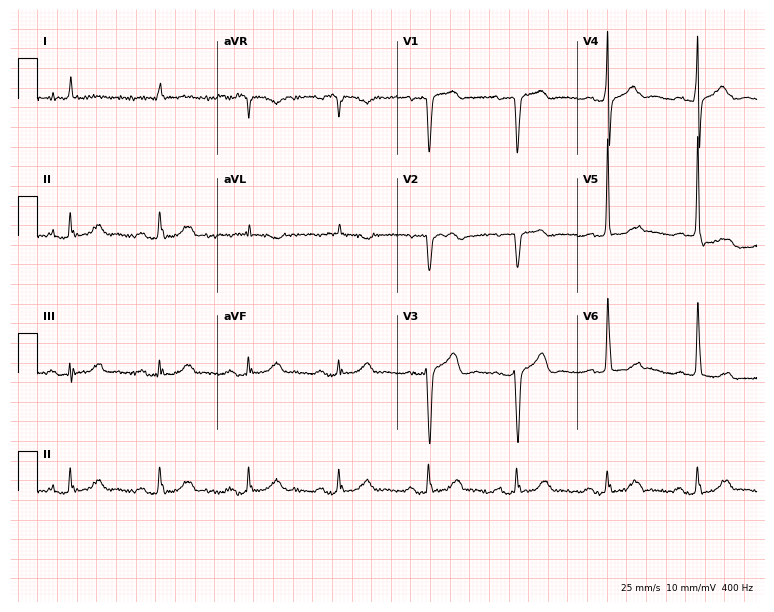
Electrocardiogram (7.3-second recording at 400 Hz), a male patient, 83 years old. Of the six screened findings (first-degree AV block, right bundle branch block, left bundle branch block, sinus bradycardia, atrial fibrillation, sinus tachycardia), none is recorded. Only these six findings were labelled.